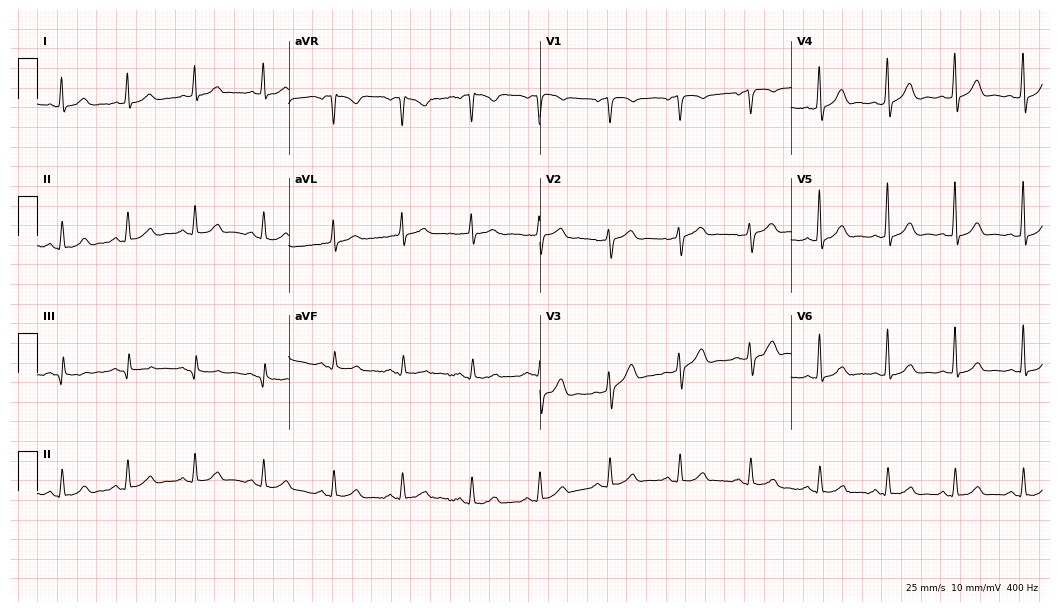
ECG (10.2-second recording at 400 Hz) — a male, 65 years old. Labelled as a normal ECG.